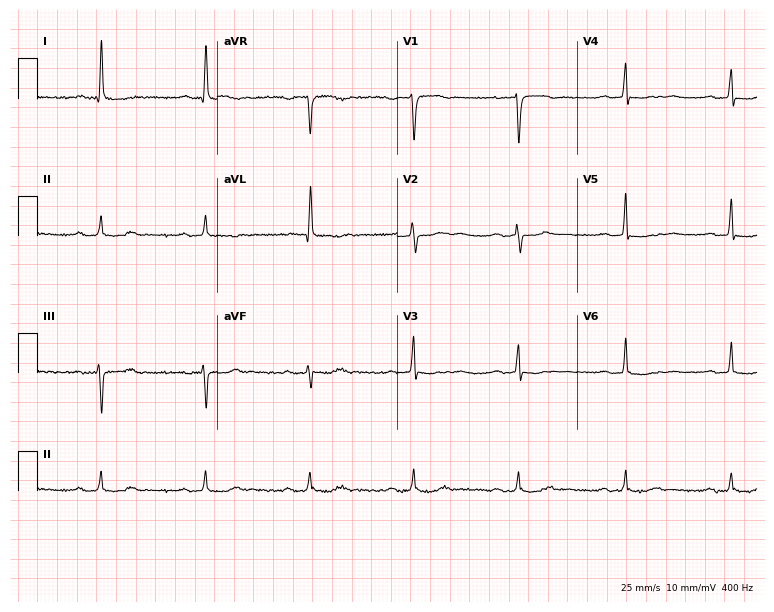
12-lead ECG (7.3-second recording at 400 Hz) from a 67-year-old female. Findings include first-degree AV block.